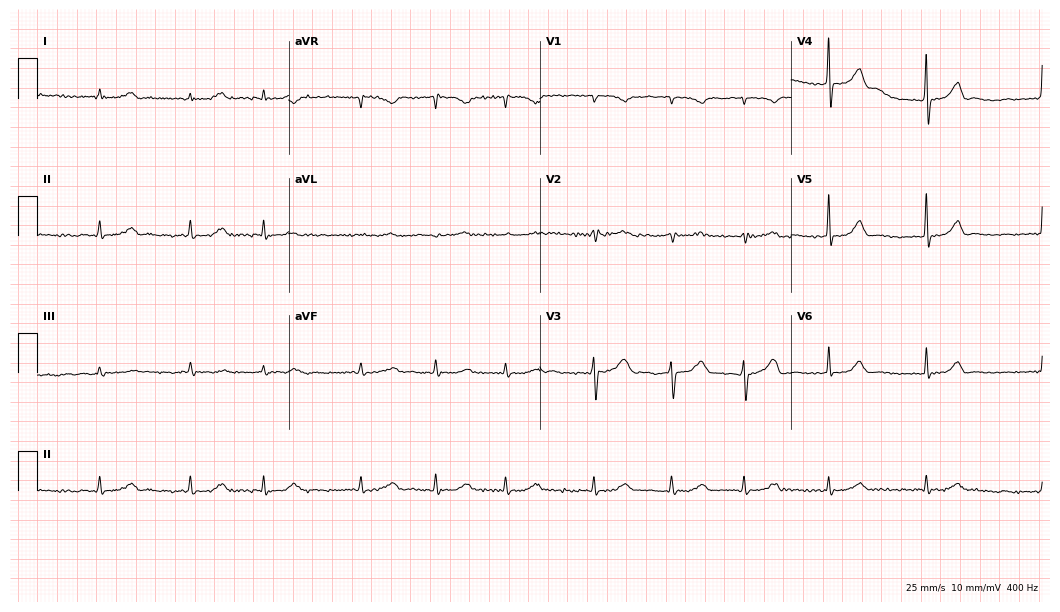
12-lead ECG (10.2-second recording at 400 Hz) from a 79-year-old male patient. Findings include atrial fibrillation.